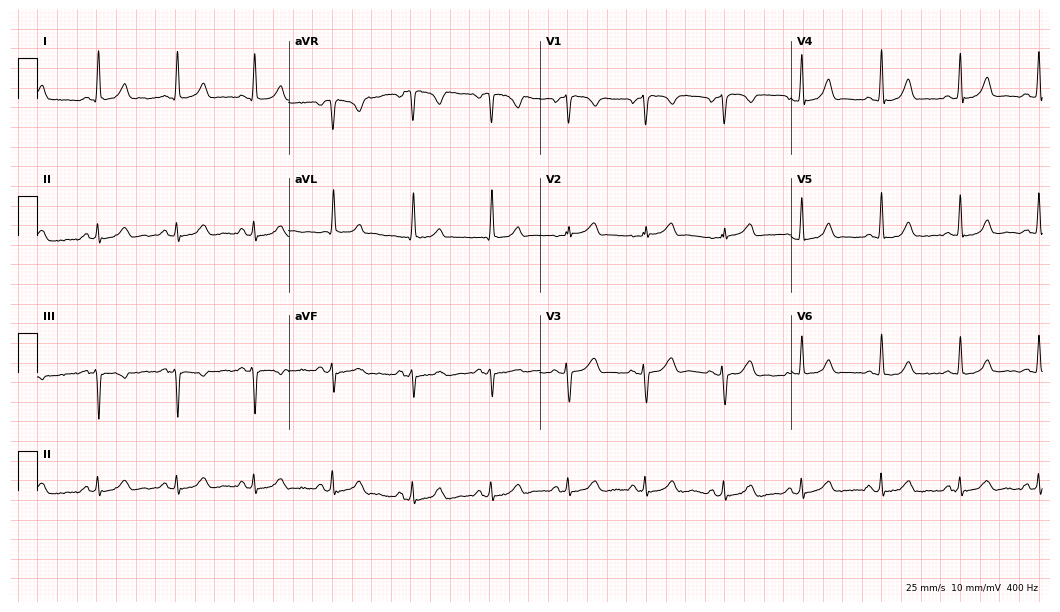
ECG — a 56-year-old female. Labelled as a normal ECG.